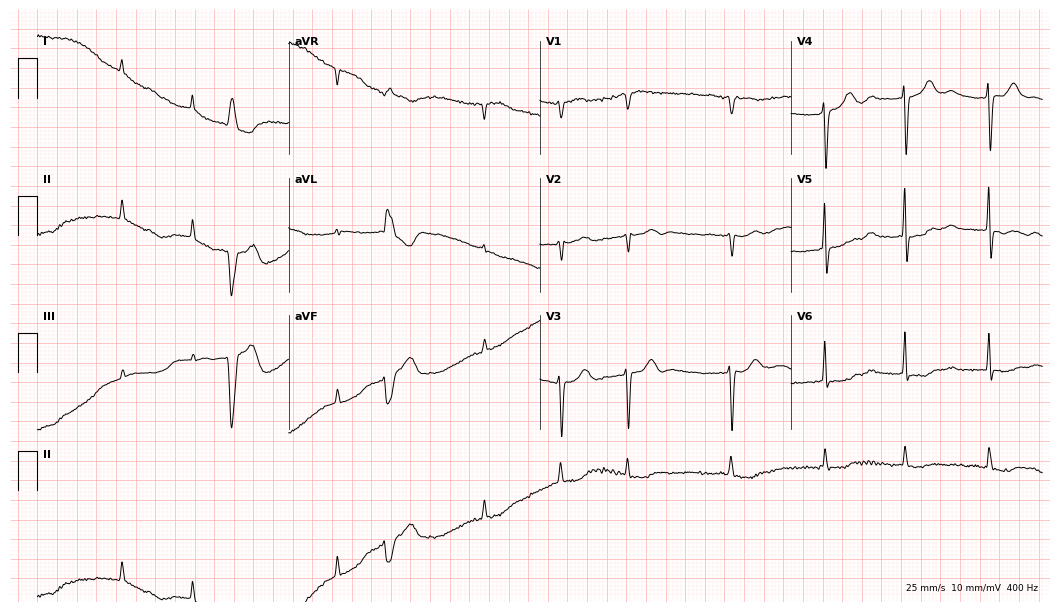
Resting 12-lead electrocardiogram. Patient: a female, 78 years old. The tracing shows atrial fibrillation.